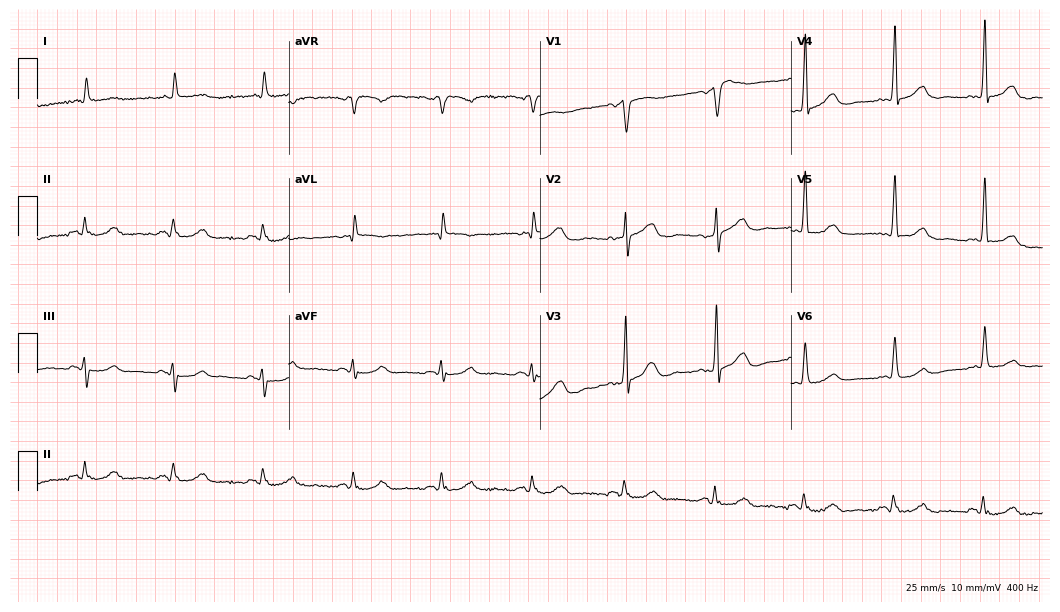
Resting 12-lead electrocardiogram. Patient: a male, 82 years old. Read as a normal ECG.